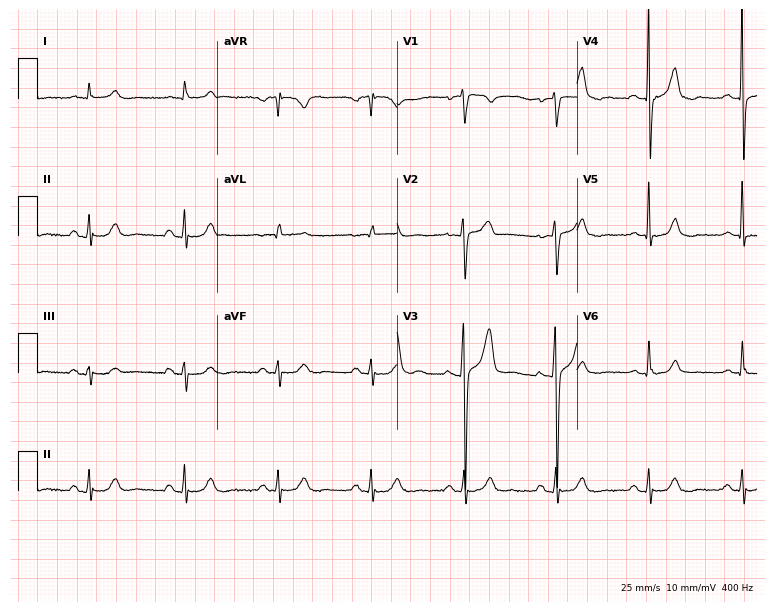
Resting 12-lead electrocardiogram. Patient: a 70-year-old man. Read as a normal ECG.